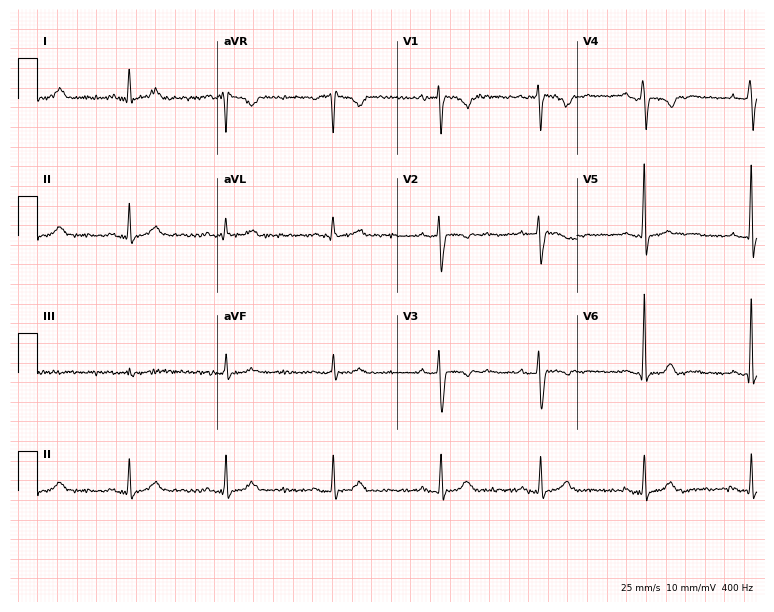
ECG (7.3-second recording at 400 Hz) — a 32-year-old woman. Screened for six findings — first-degree AV block, right bundle branch block, left bundle branch block, sinus bradycardia, atrial fibrillation, sinus tachycardia — none is recorded.